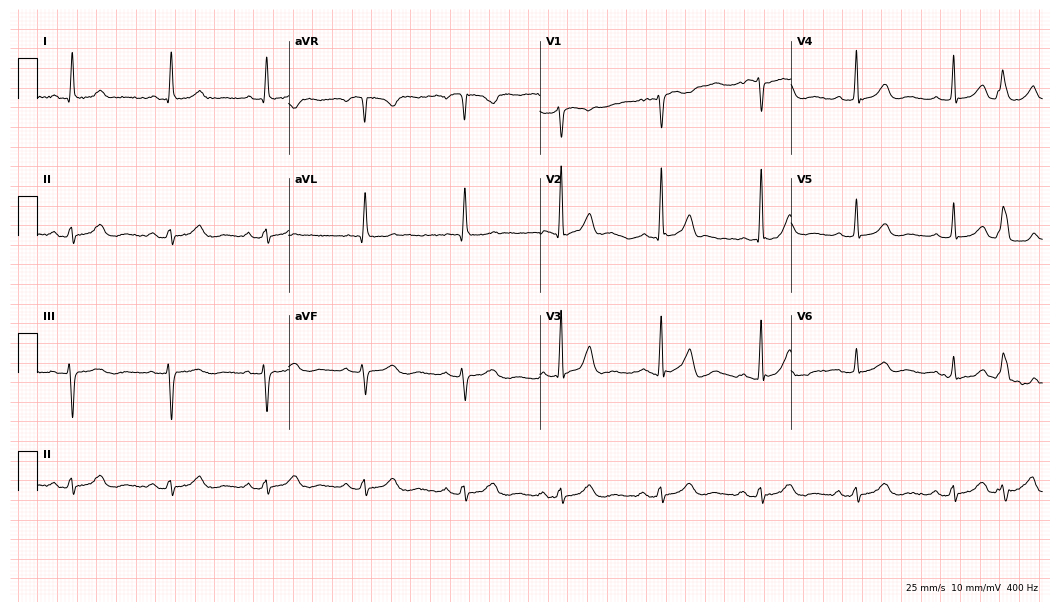
12-lead ECG from a woman, 61 years old (10.2-second recording at 400 Hz). No first-degree AV block, right bundle branch block (RBBB), left bundle branch block (LBBB), sinus bradycardia, atrial fibrillation (AF) or sinus tachycardia recorded for this tracing. Other findings, if any, are not listed.